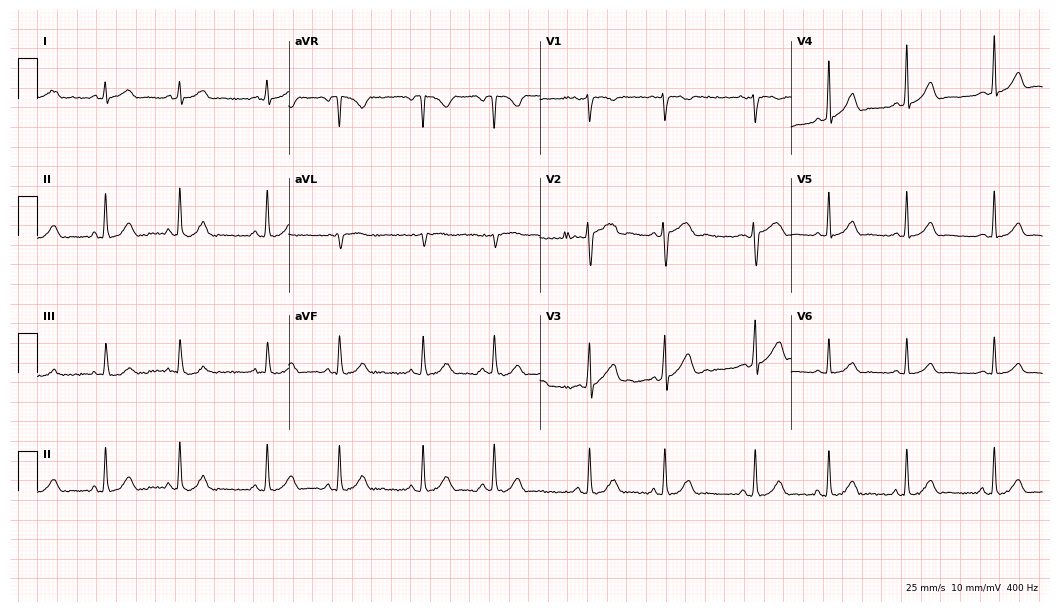
12-lead ECG from a female patient, 25 years old (10.2-second recording at 400 Hz). No first-degree AV block, right bundle branch block (RBBB), left bundle branch block (LBBB), sinus bradycardia, atrial fibrillation (AF) or sinus tachycardia recorded for this tracing.